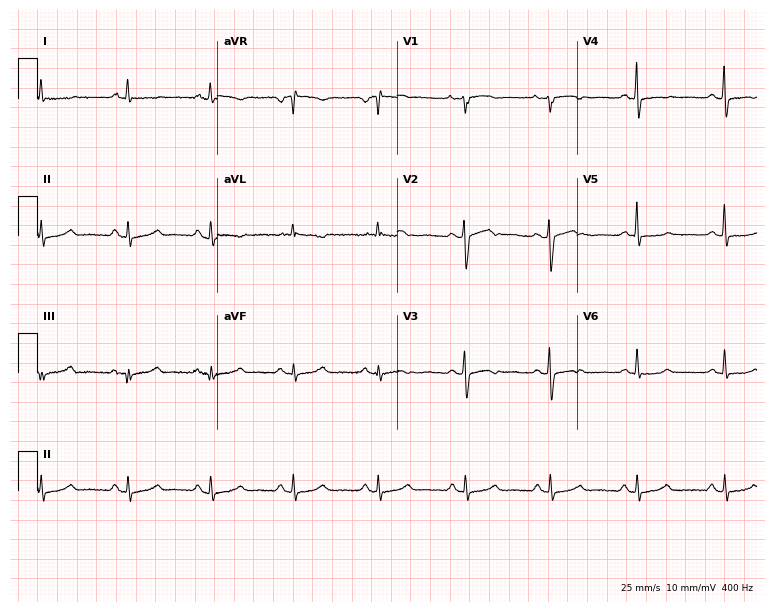
ECG (7.3-second recording at 400 Hz) — a 51-year-old female patient. Labelled as a normal ECG.